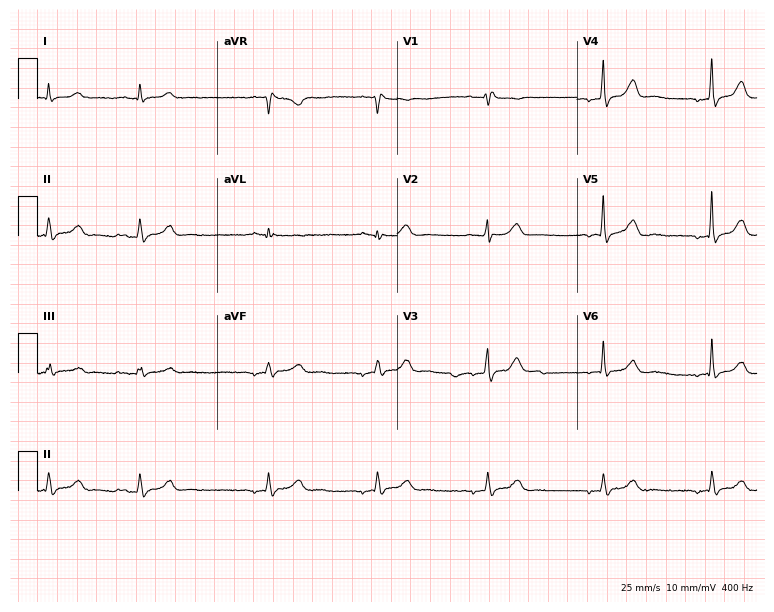
Resting 12-lead electrocardiogram. Patient: a male, 74 years old. None of these six findings is recorded: first-degree AV block, right bundle branch block, left bundle branch block, sinus bradycardia, atrial fibrillation, sinus tachycardia.